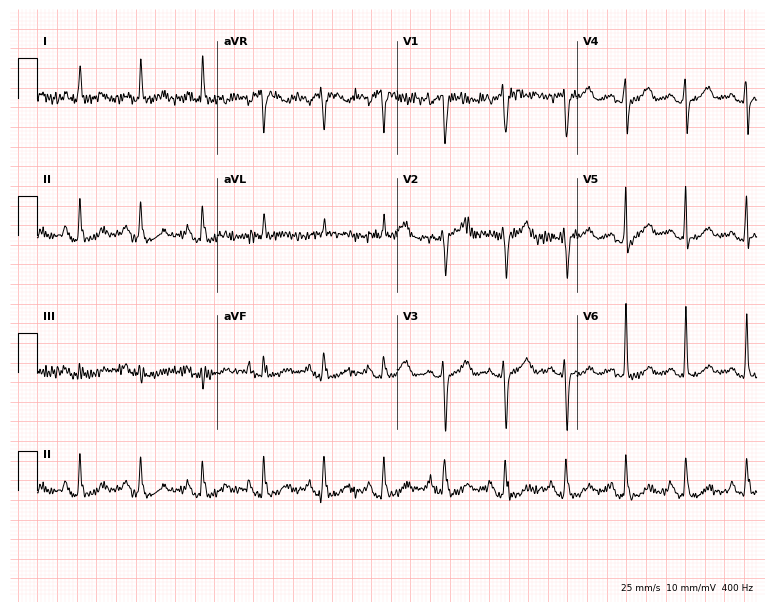
12-lead ECG (7.3-second recording at 400 Hz) from a 72-year-old female. Screened for six findings — first-degree AV block, right bundle branch block, left bundle branch block, sinus bradycardia, atrial fibrillation, sinus tachycardia — none is recorded. Findings outside these six are not listed.